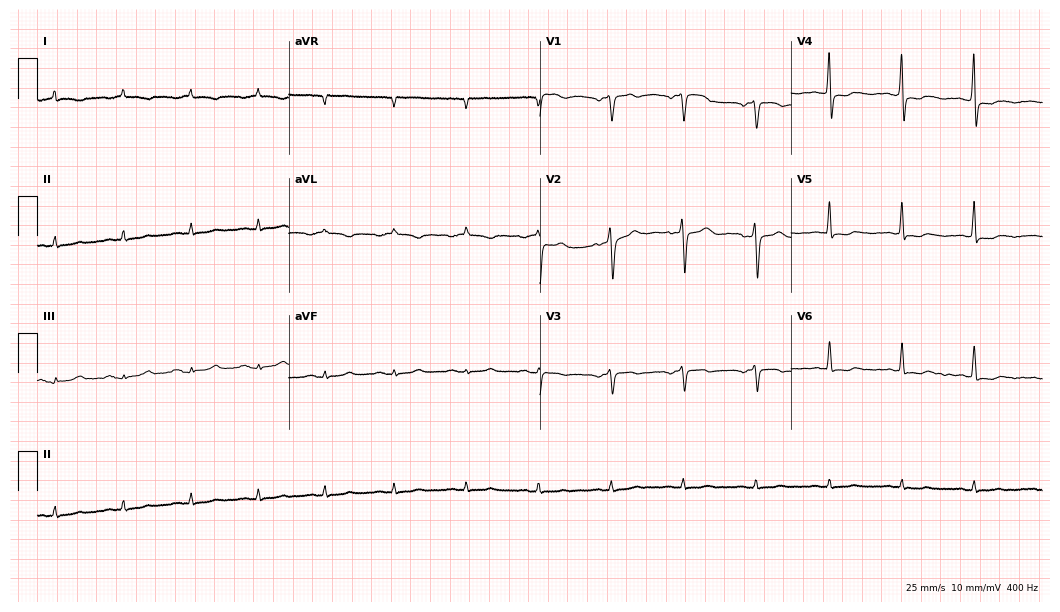
12-lead ECG (10.2-second recording at 400 Hz) from a woman, 61 years old. Screened for six findings — first-degree AV block, right bundle branch block, left bundle branch block, sinus bradycardia, atrial fibrillation, sinus tachycardia — none is recorded. Other findings, if any, are not listed.